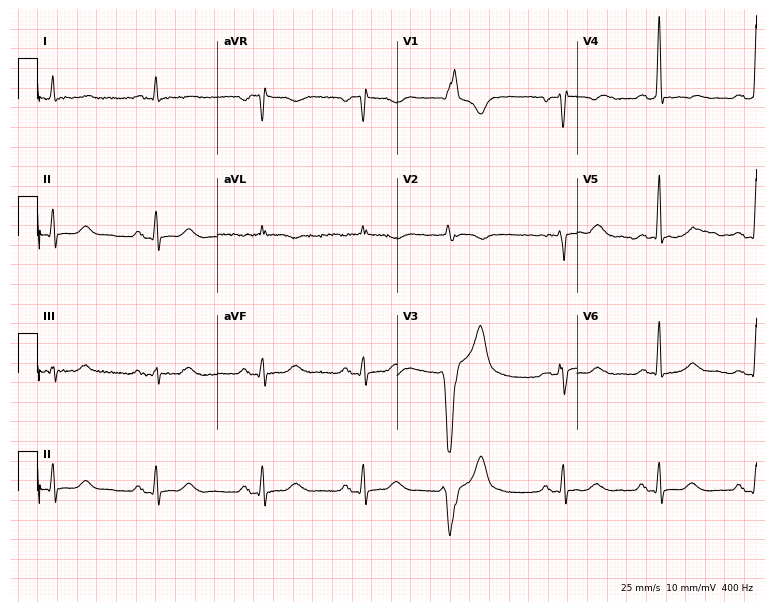
Resting 12-lead electrocardiogram. Patient: a 71-year-old man. Read as a normal ECG.